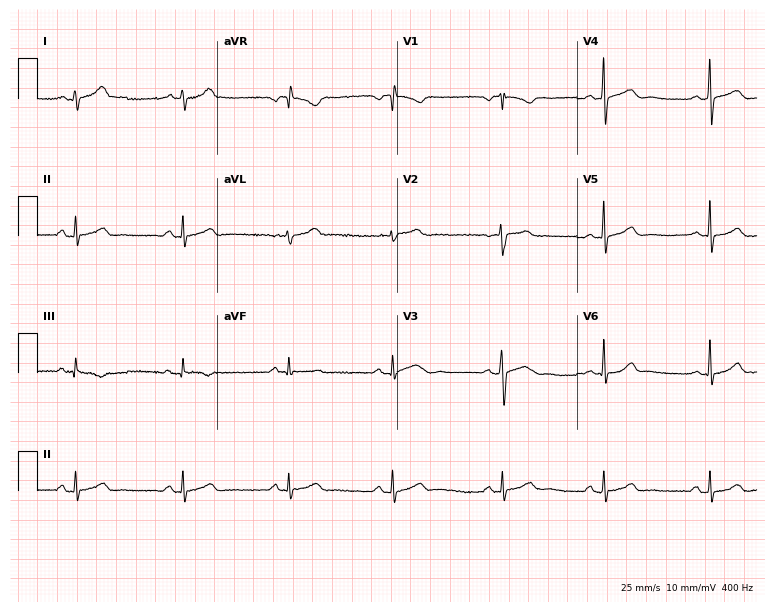
Standard 12-lead ECG recorded from a 34-year-old man (7.3-second recording at 400 Hz). Read as a normal ECG.